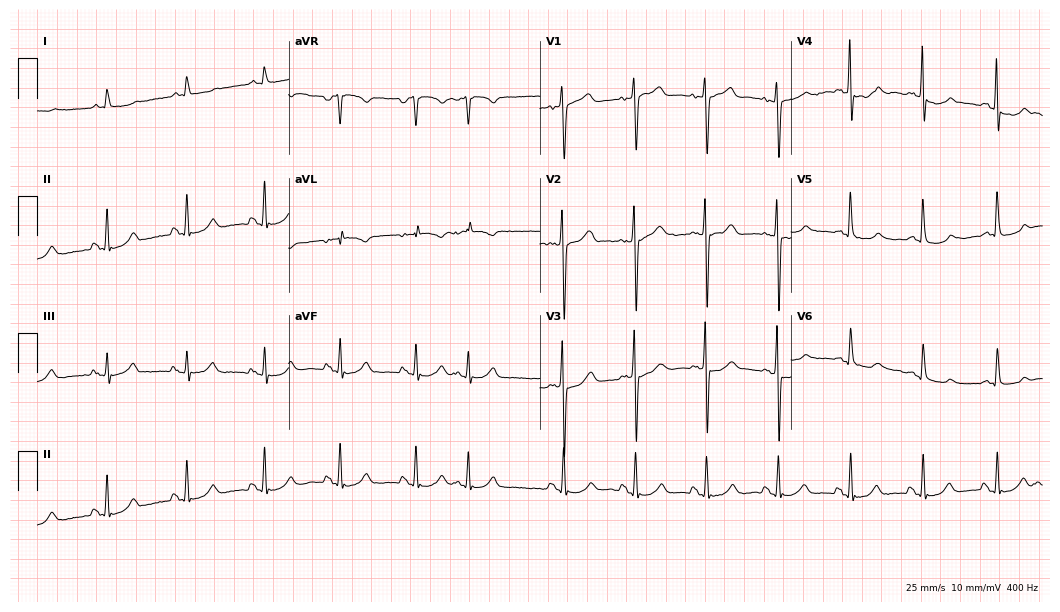
Resting 12-lead electrocardiogram (10.2-second recording at 400 Hz). Patient: a 65-year-old male. Read as a normal ECG.